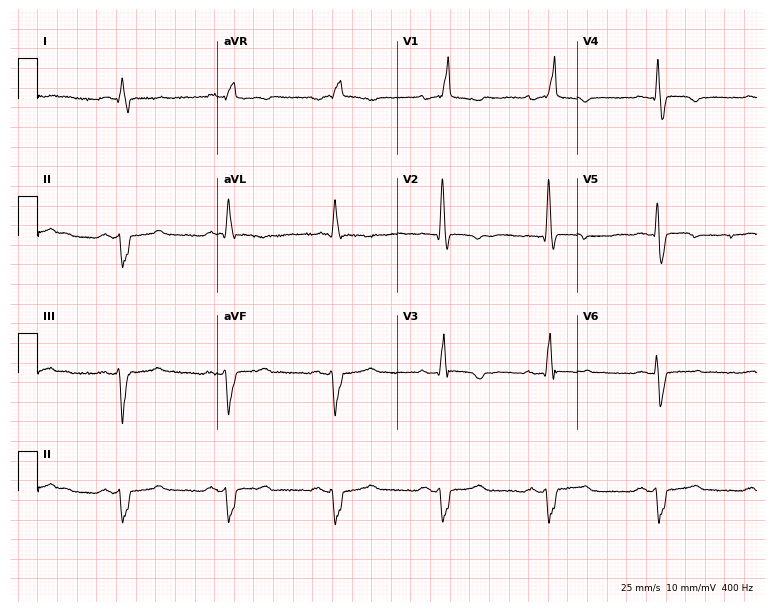
ECG (7.3-second recording at 400 Hz) — a 63-year-old female patient. Screened for six findings — first-degree AV block, right bundle branch block, left bundle branch block, sinus bradycardia, atrial fibrillation, sinus tachycardia — none is recorded. Other findings, if any, are not listed.